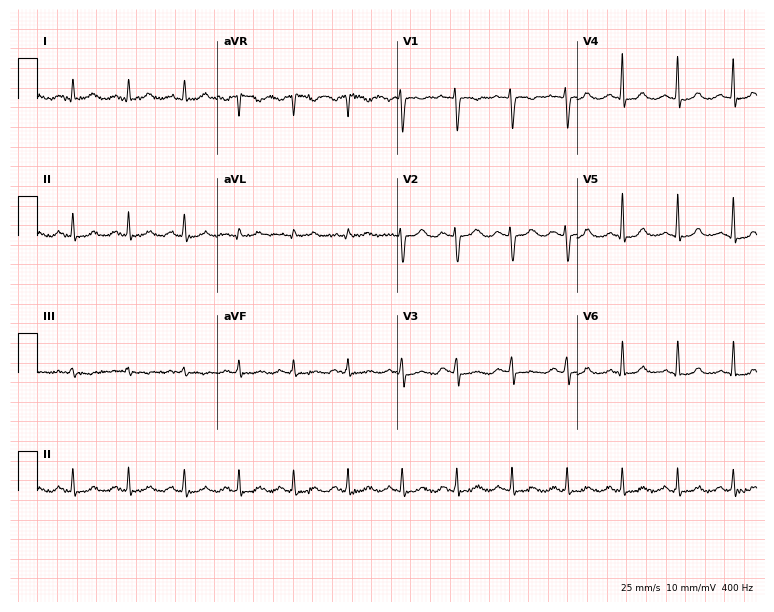
ECG — a female patient, 31 years old. Findings include sinus tachycardia (a sinus rate of 100 beats per minute or more).